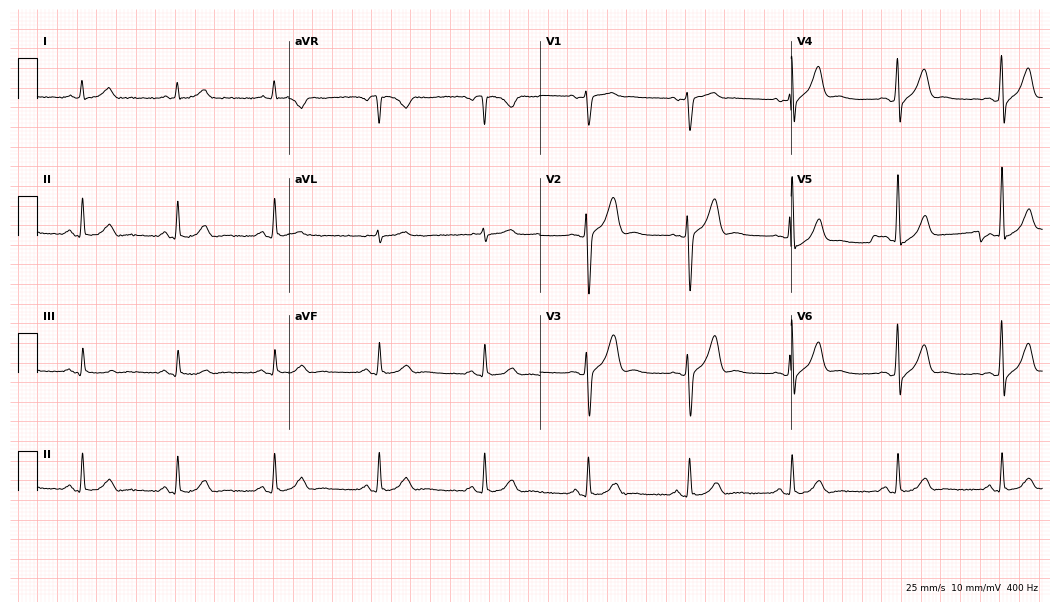
Standard 12-lead ECG recorded from a man, 39 years old. Read as a normal ECG.